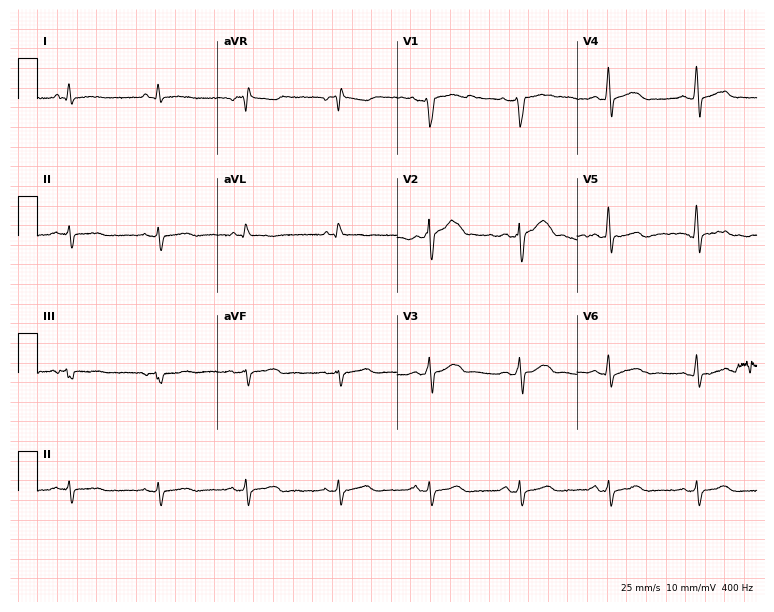
Resting 12-lead electrocardiogram (7.3-second recording at 400 Hz). Patient: a man, 64 years old. None of these six findings is recorded: first-degree AV block, right bundle branch block, left bundle branch block, sinus bradycardia, atrial fibrillation, sinus tachycardia.